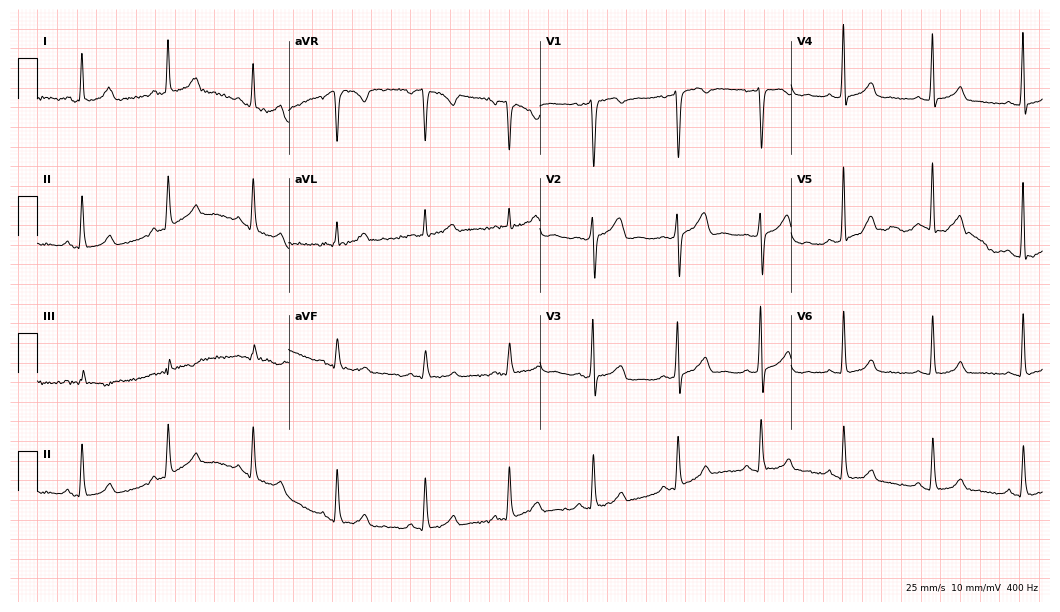
Standard 12-lead ECG recorded from a female, 37 years old (10.2-second recording at 400 Hz). Read as a normal ECG.